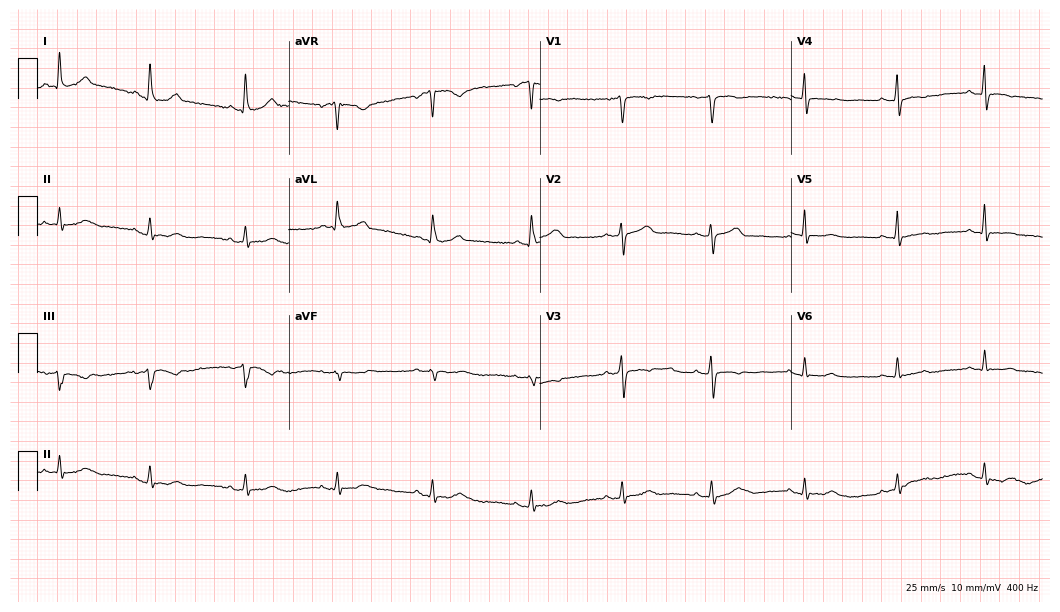
Electrocardiogram, a 44-year-old female. Of the six screened findings (first-degree AV block, right bundle branch block, left bundle branch block, sinus bradycardia, atrial fibrillation, sinus tachycardia), none is recorded.